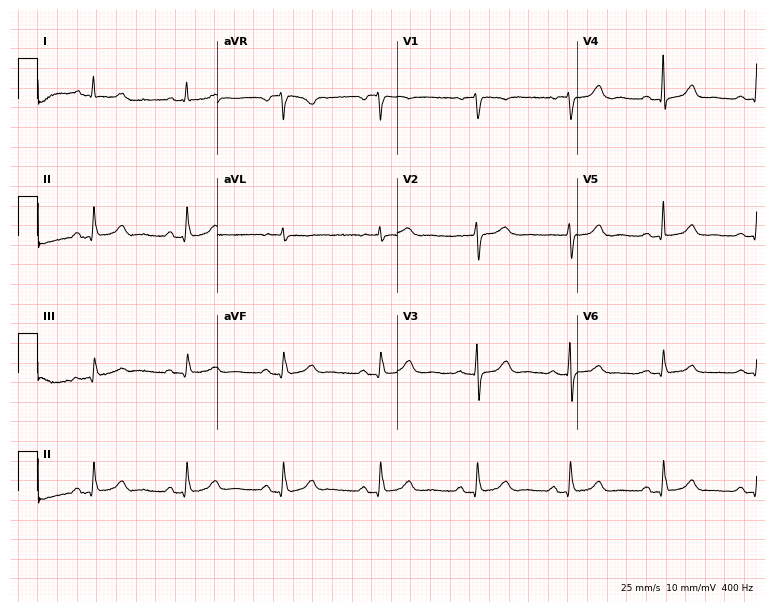
12-lead ECG from a female, 61 years old (7.3-second recording at 400 Hz). Recorded interpretation: within normal limits.